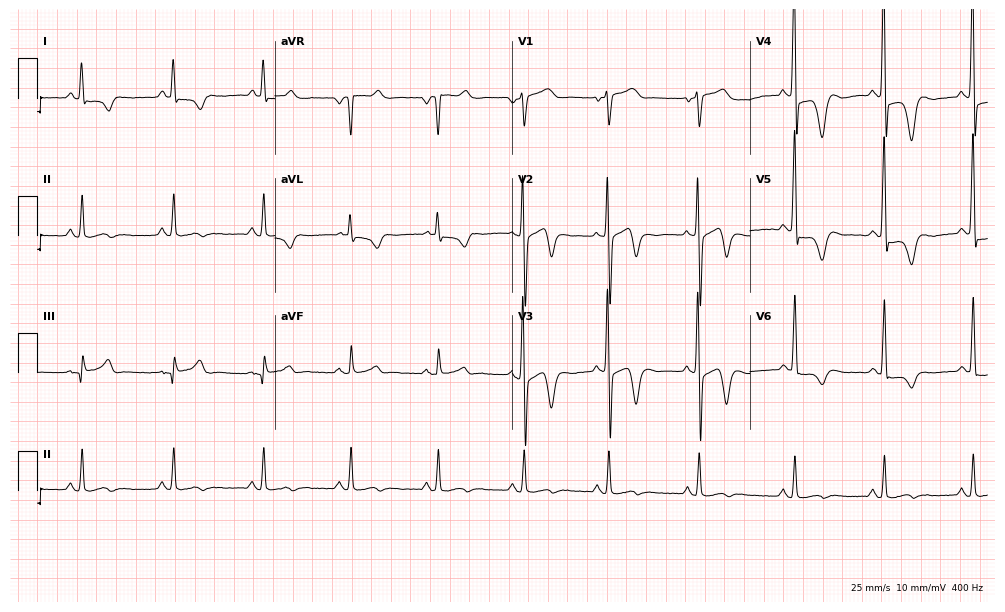
12-lead ECG from a 55-year-old male patient (9.7-second recording at 400 Hz). No first-degree AV block, right bundle branch block (RBBB), left bundle branch block (LBBB), sinus bradycardia, atrial fibrillation (AF) or sinus tachycardia recorded for this tracing.